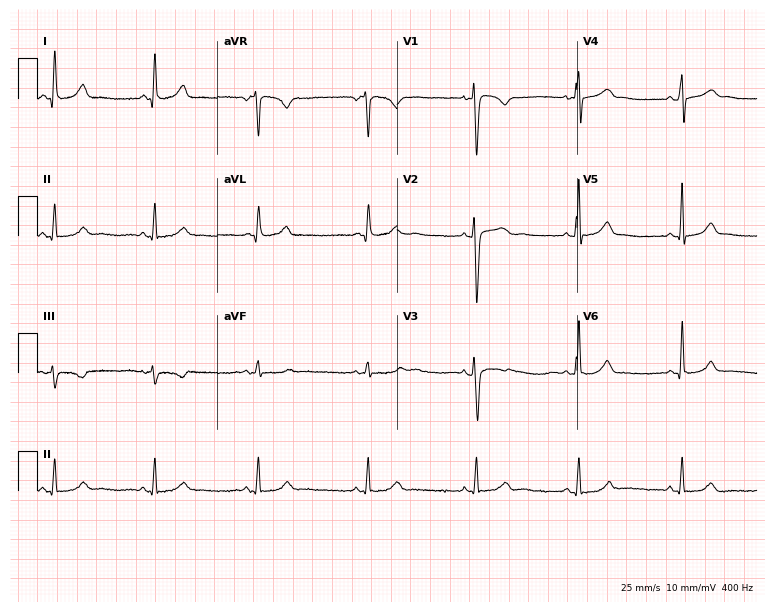
Electrocardiogram (7.3-second recording at 400 Hz), a 41-year-old woman. Overall reading on record: normal ECG.